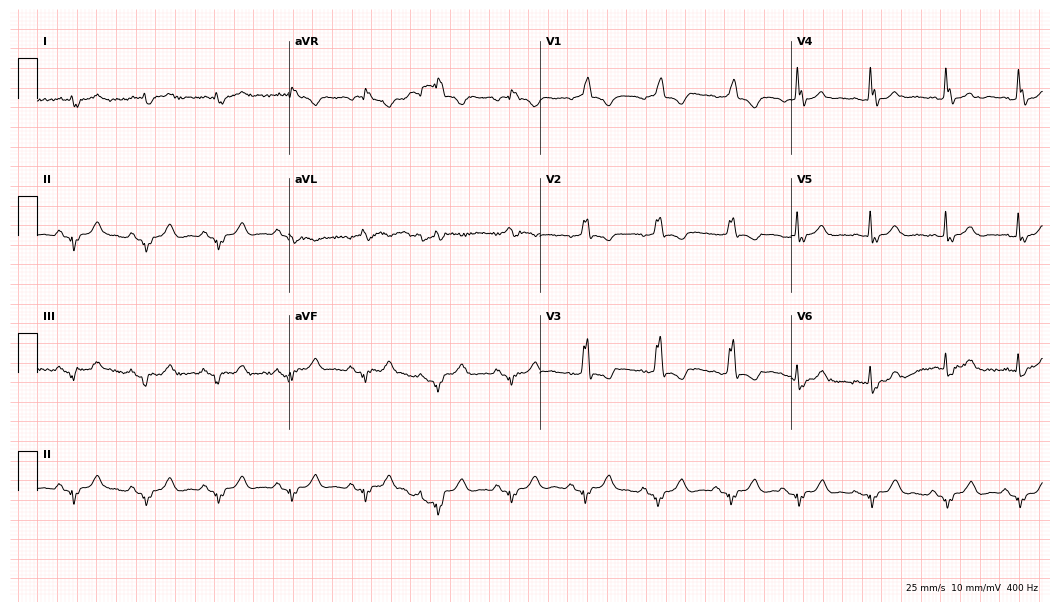
Electrocardiogram, an 84-year-old male. Interpretation includes right bundle branch block.